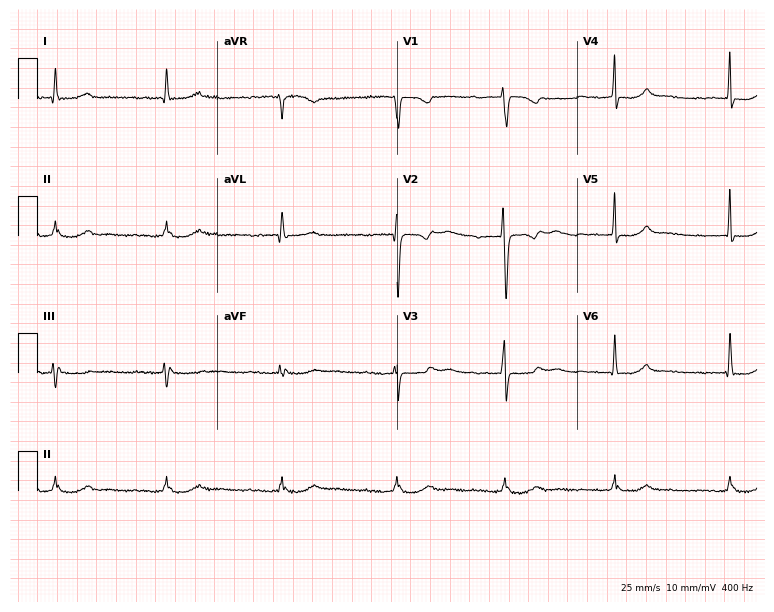
12-lead ECG from a 50-year-old female patient. Shows first-degree AV block.